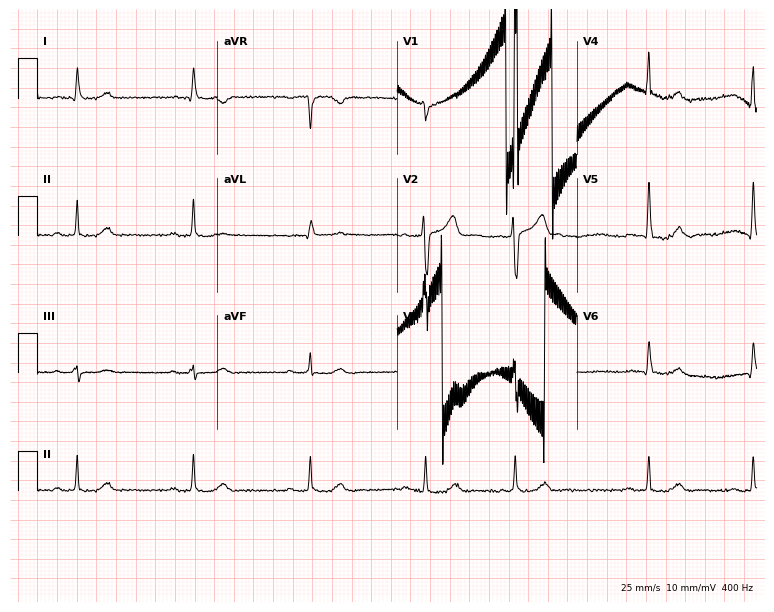
12-lead ECG from an 85-year-old man. Screened for six findings — first-degree AV block, right bundle branch block, left bundle branch block, sinus bradycardia, atrial fibrillation, sinus tachycardia — none is recorded.